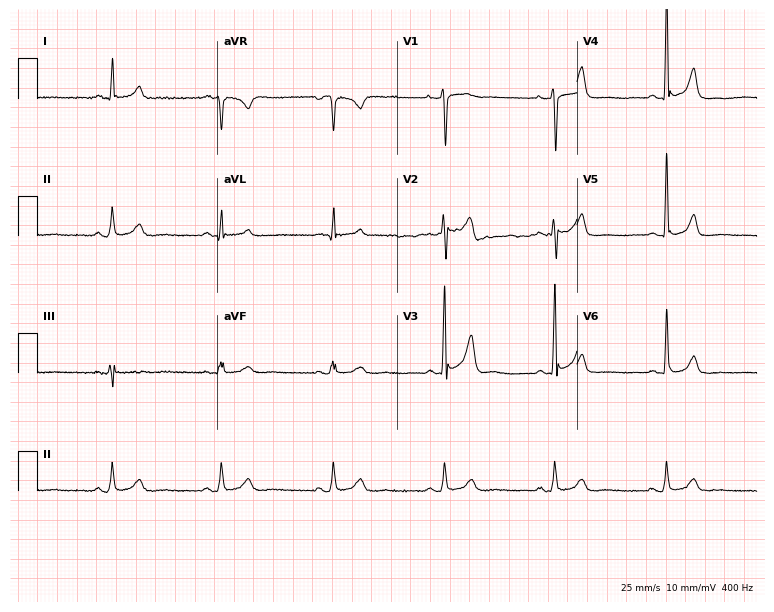
12-lead ECG (7.3-second recording at 400 Hz) from a man, 59 years old. Labelled as a normal ECG.